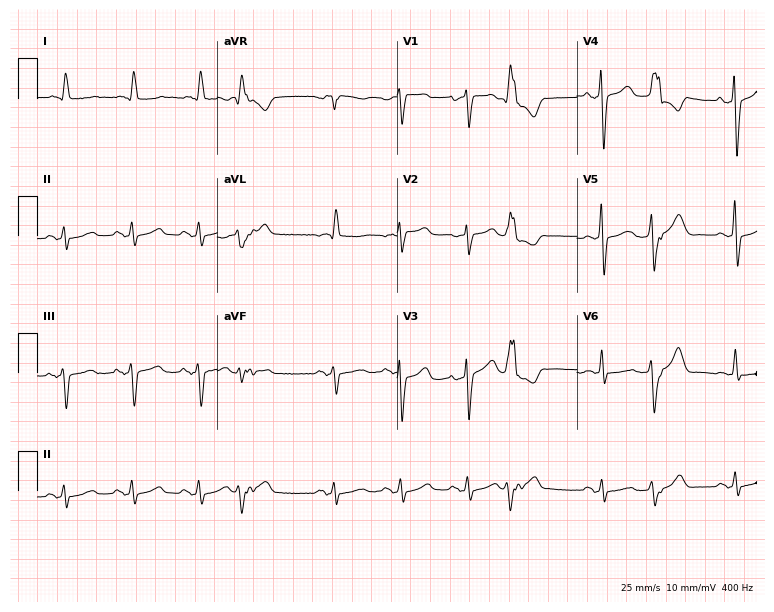
ECG (7.3-second recording at 400 Hz) — a woman, 83 years old. Screened for six findings — first-degree AV block, right bundle branch block, left bundle branch block, sinus bradycardia, atrial fibrillation, sinus tachycardia — none is recorded. Findings outside these six are not listed.